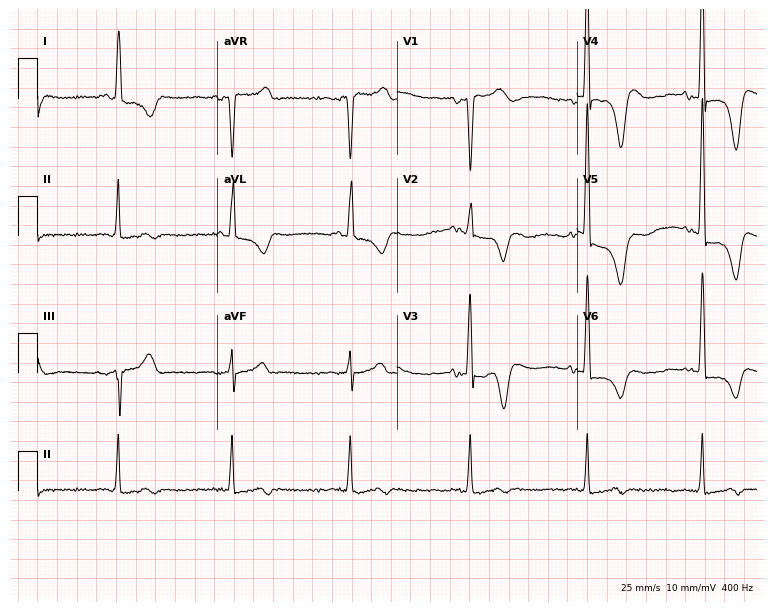
ECG (7.3-second recording at 400 Hz) — a 75-year-old male patient. Screened for six findings — first-degree AV block, right bundle branch block, left bundle branch block, sinus bradycardia, atrial fibrillation, sinus tachycardia — none is recorded. Other findings, if any, are not listed.